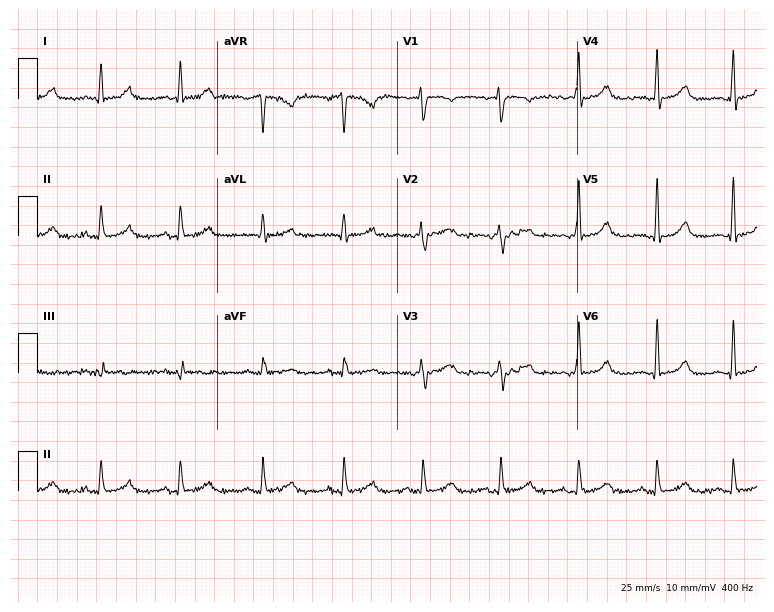
Resting 12-lead electrocardiogram (7.3-second recording at 400 Hz). Patient: a female, 33 years old. None of these six findings is recorded: first-degree AV block, right bundle branch block (RBBB), left bundle branch block (LBBB), sinus bradycardia, atrial fibrillation (AF), sinus tachycardia.